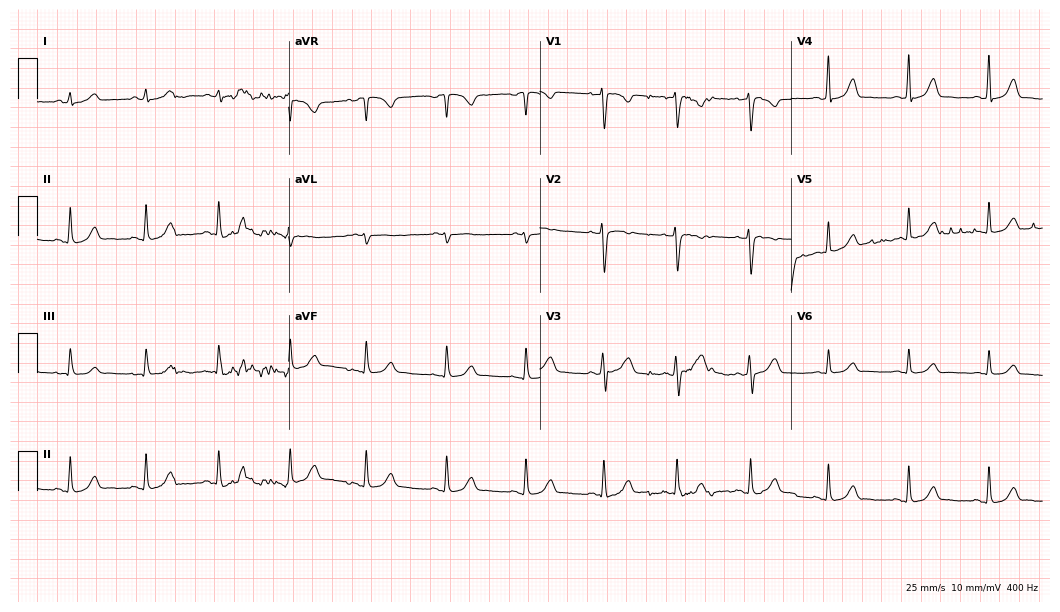
Electrocardiogram, a 32-year-old female patient. Of the six screened findings (first-degree AV block, right bundle branch block, left bundle branch block, sinus bradycardia, atrial fibrillation, sinus tachycardia), none is recorded.